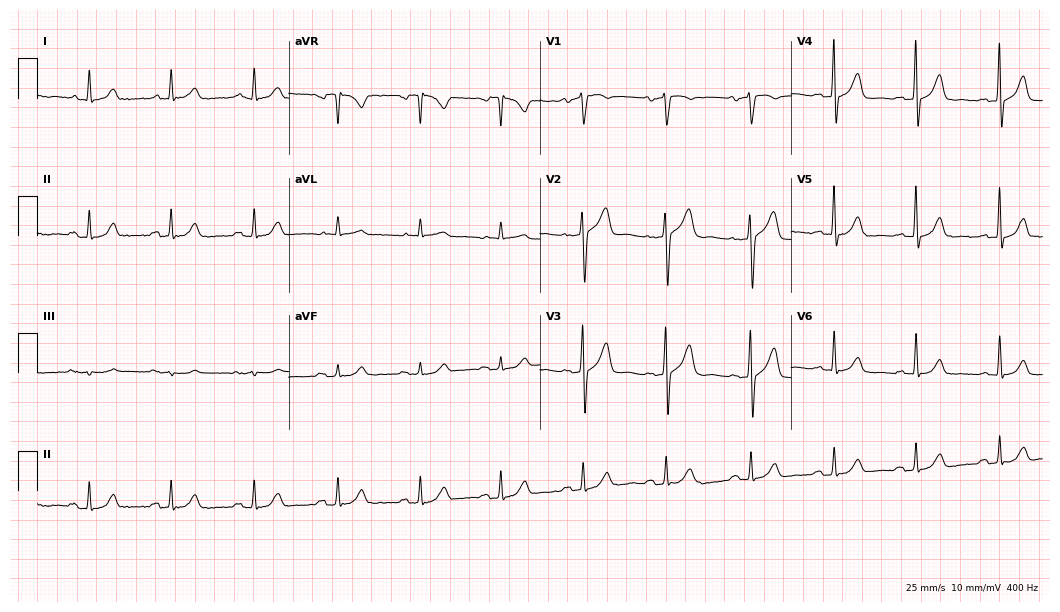
12-lead ECG (10.2-second recording at 400 Hz) from a male patient, 70 years old. Screened for six findings — first-degree AV block, right bundle branch block, left bundle branch block, sinus bradycardia, atrial fibrillation, sinus tachycardia — none is recorded.